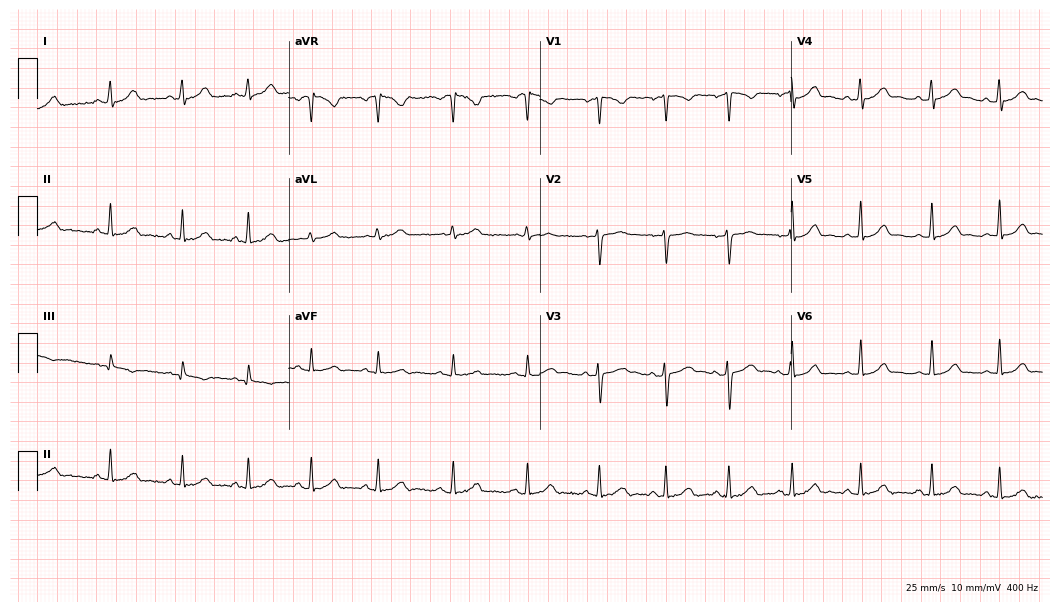
Standard 12-lead ECG recorded from a 25-year-old female (10.2-second recording at 400 Hz). Read as a normal ECG.